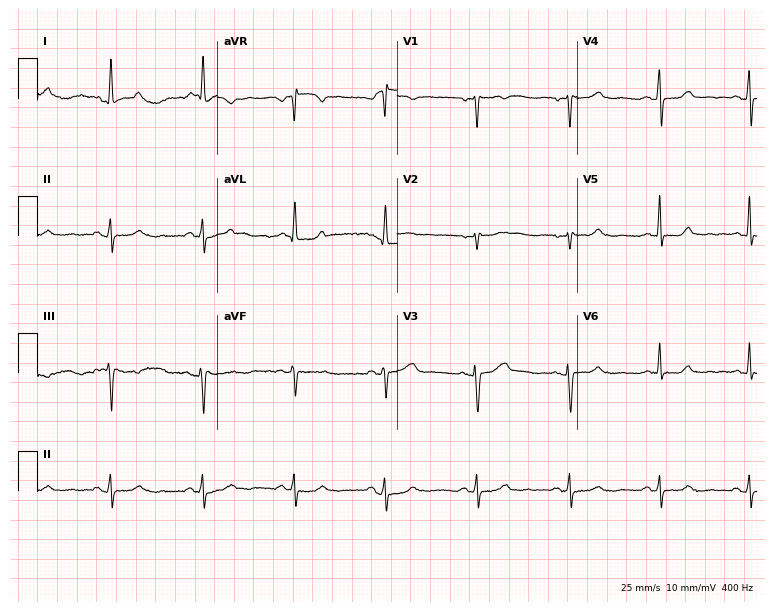
Standard 12-lead ECG recorded from a female, 52 years old (7.3-second recording at 400 Hz). Read as a normal ECG.